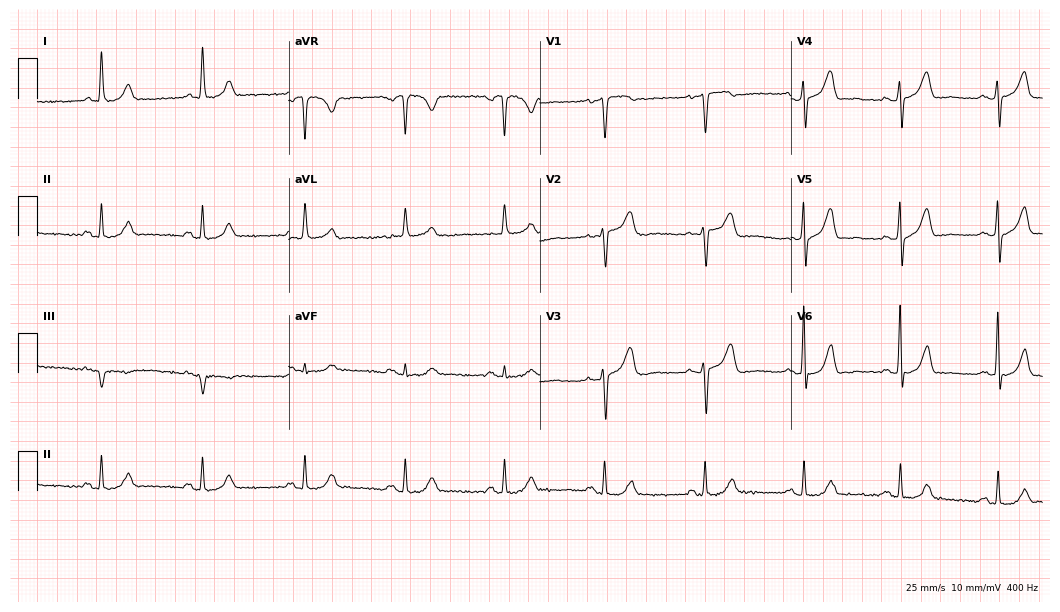
12-lead ECG (10.2-second recording at 400 Hz) from a 79-year-old female patient. Labelled as a normal ECG.